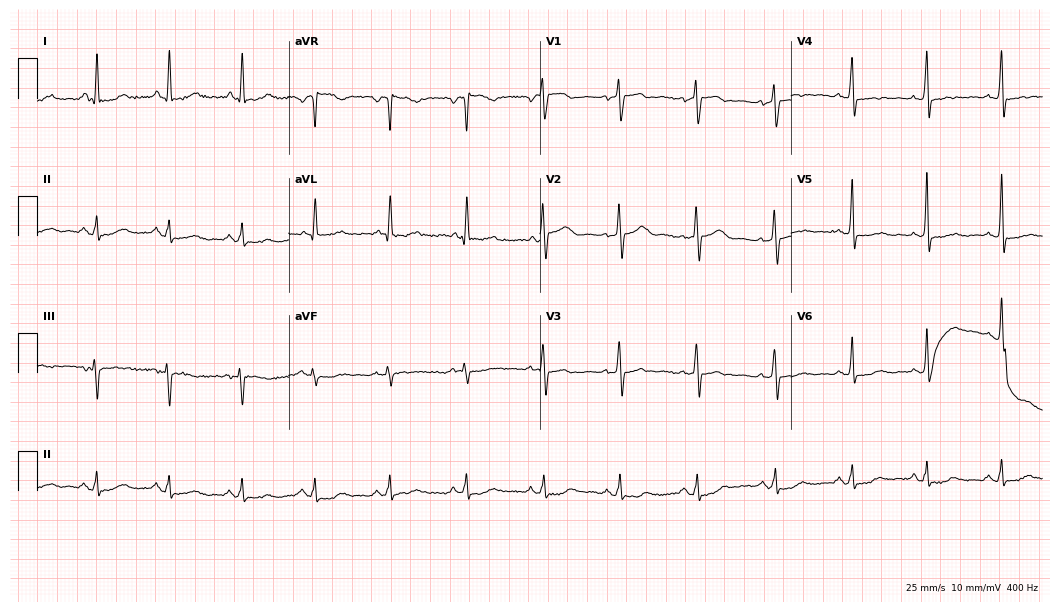
ECG — a female patient, 65 years old. Screened for six findings — first-degree AV block, right bundle branch block, left bundle branch block, sinus bradycardia, atrial fibrillation, sinus tachycardia — none is recorded.